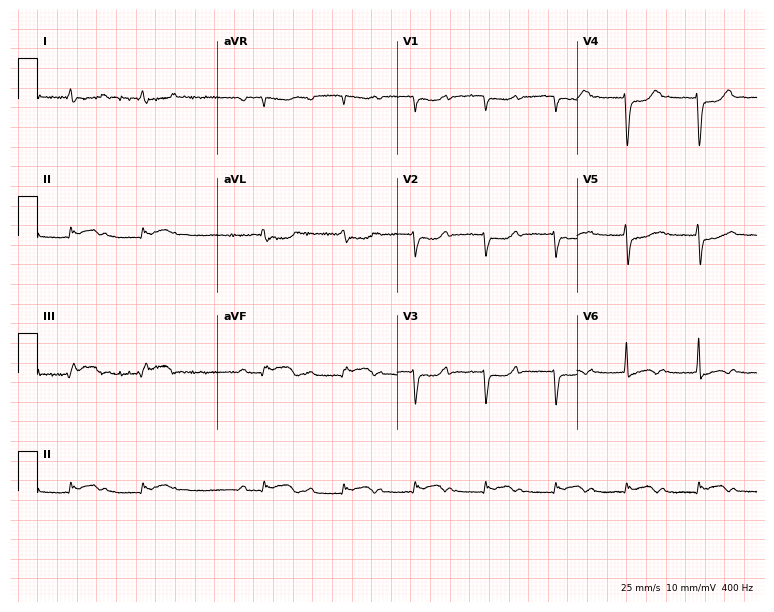
Standard 12-lead ECG recorded from a female, 54 years old (7.3-second recording at 400 Hz). None of these six findings is recorded: first-degree AV block, right bundle branch block (RBBB), left bundle branch block (LBBB), sinus bradycardia, atrial fibrillation (AF), sinus tachycardia. Only these six findings were labelled.